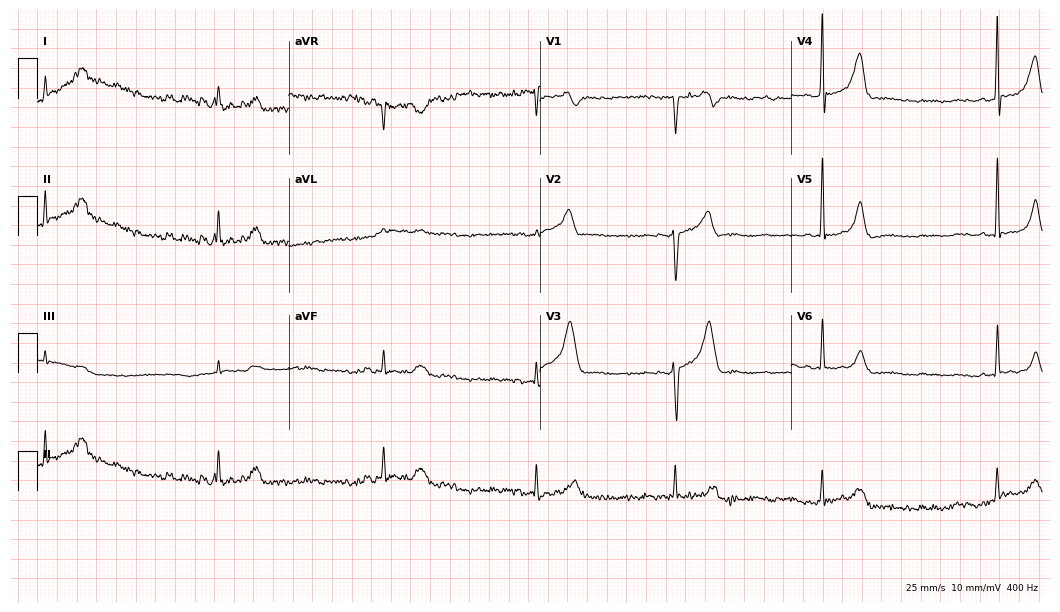
Resting 12-lead electrocardiogram. Patient: a 60-year-old male. None of these six findings is recorded: first-degree AV block, right bundle branch block, left bundle branch block, sinus bradycardia, atrial fibrillation, sinus tachycardia.